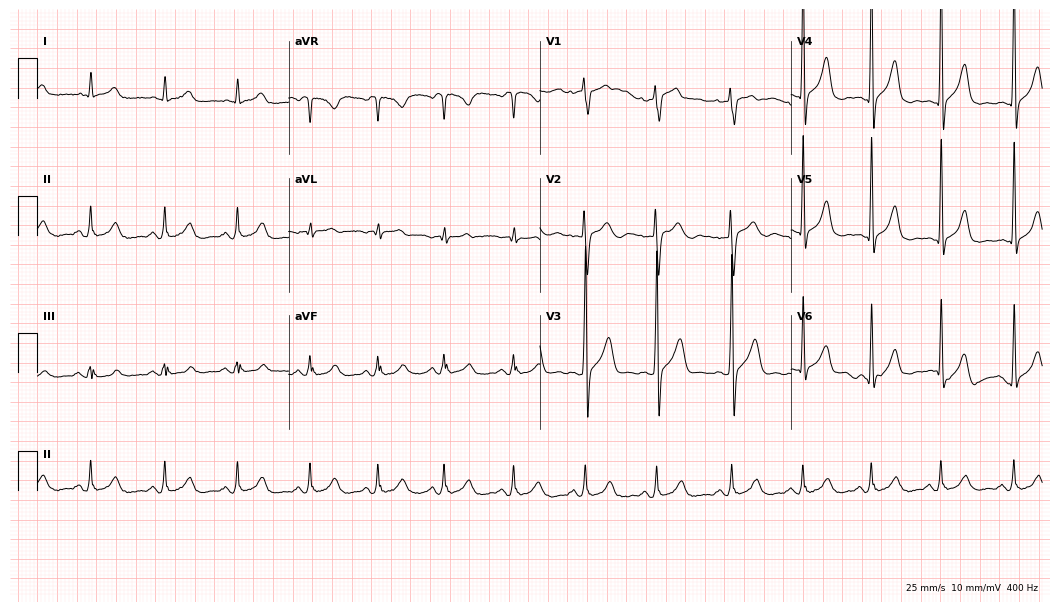
Resting 12-lead electrocardiogram (10.2-second recording at 400 Hz). Patient: a 25-year-old female. Read as a normal ECG.